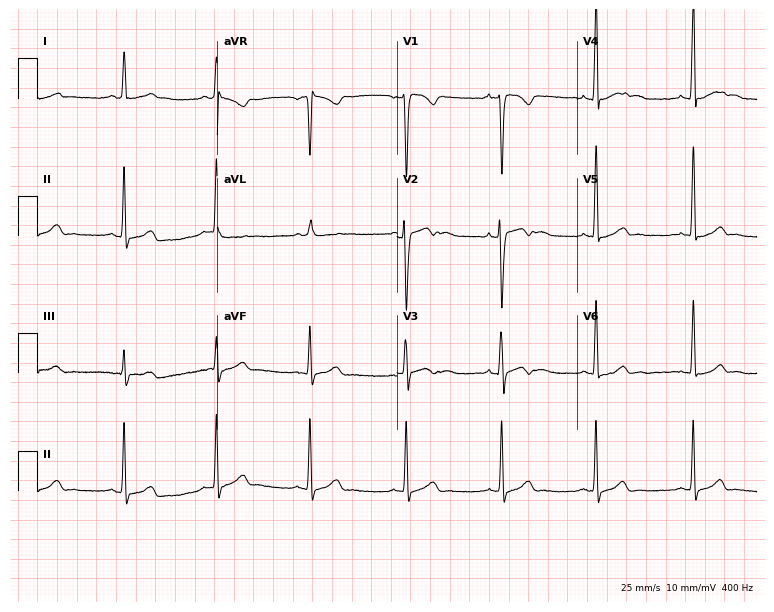
ECG — a 23-year-old man. Labelled as a normal ECG.